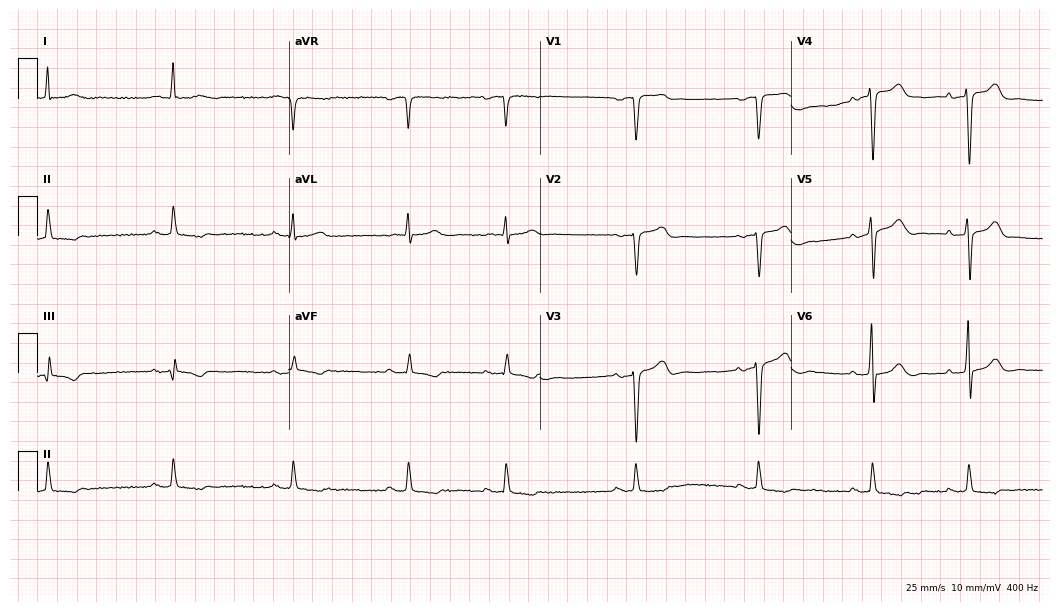
12-lead ECG (10.2-second recording at 400 Hz) from a male, 73 years old. Screened for six findings — first-degree AV block, right bundle branch block, left bundle branch block, sinus bradycardia, atrial fibrillation, sinus tachycardia — none is recorded. Only these six findings were labelled.